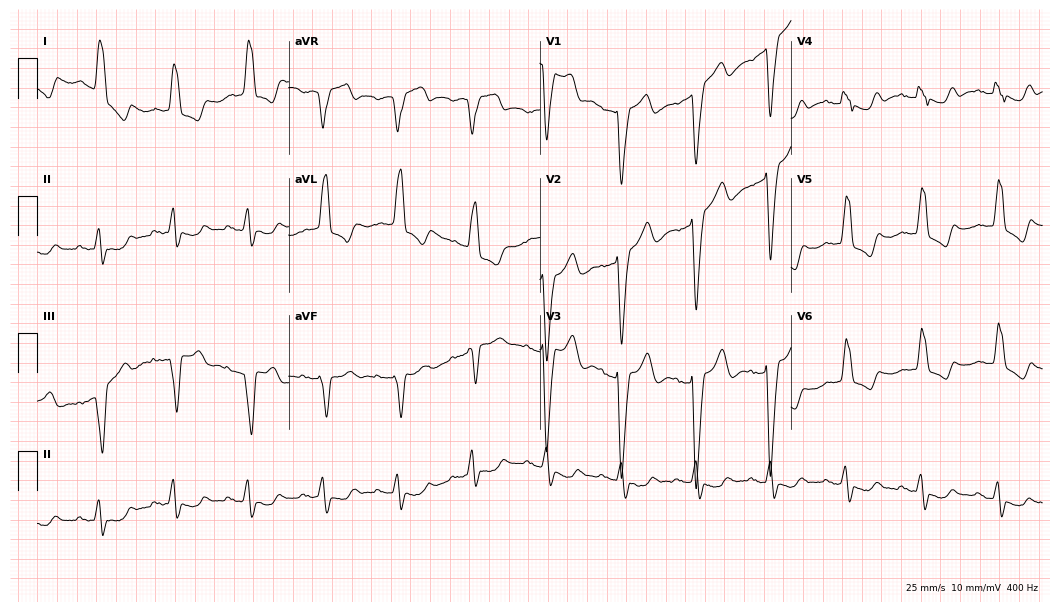
12-lead ECG from a female, 80 years old. Screened for six findings — first-degree AV block, right bundle branch block, left bundle branch block, sinus bradycardia, atrial fibrillation, sinus tachycardia — none is recorded. Other findings, if any, are not listed.